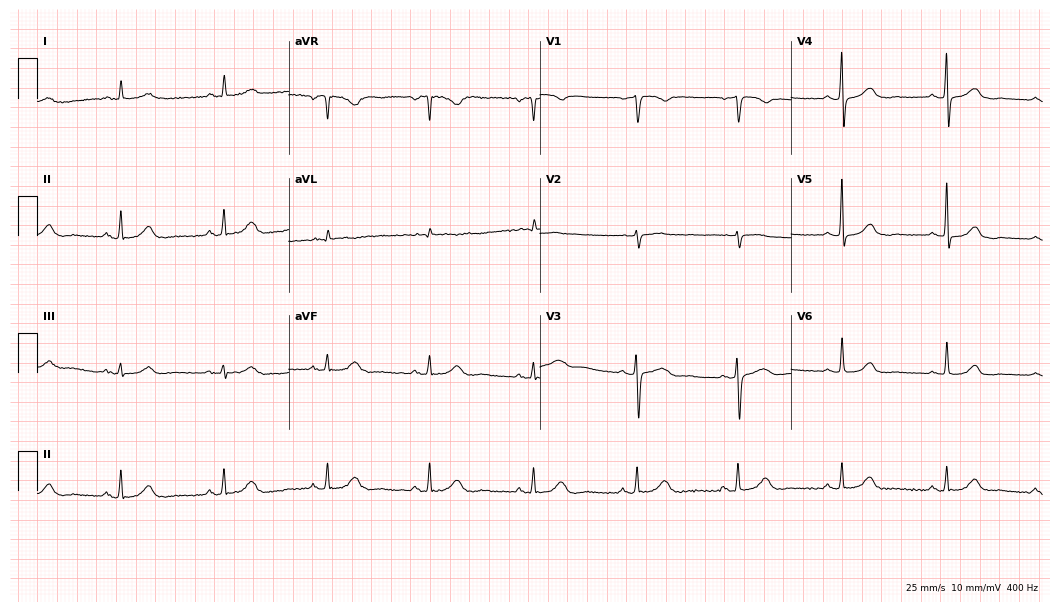
Standard 12-lead ECG recorded from a 72-year-old female (10.2-second recording at 400 Hz). Read as a normal ECG.